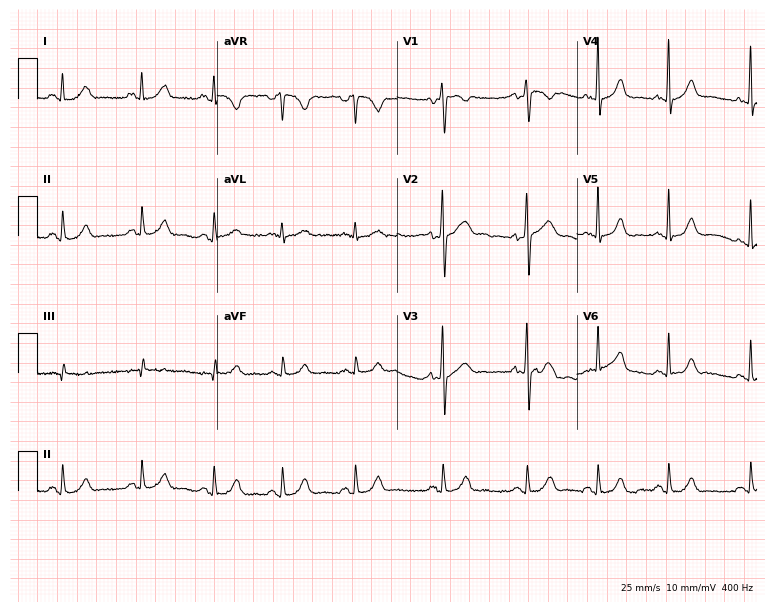
Resting 12-lead electrocardiogram (7.3-second recording at 400 Hz). Patient: a female, 22 years old. None of these six findings is recorded: first-degree AV block, right bundle branch block (RBBB), left bundle branch block (LBBB), sinus bradycardia, atrial fibrillation (AF), sinus tachycardia.